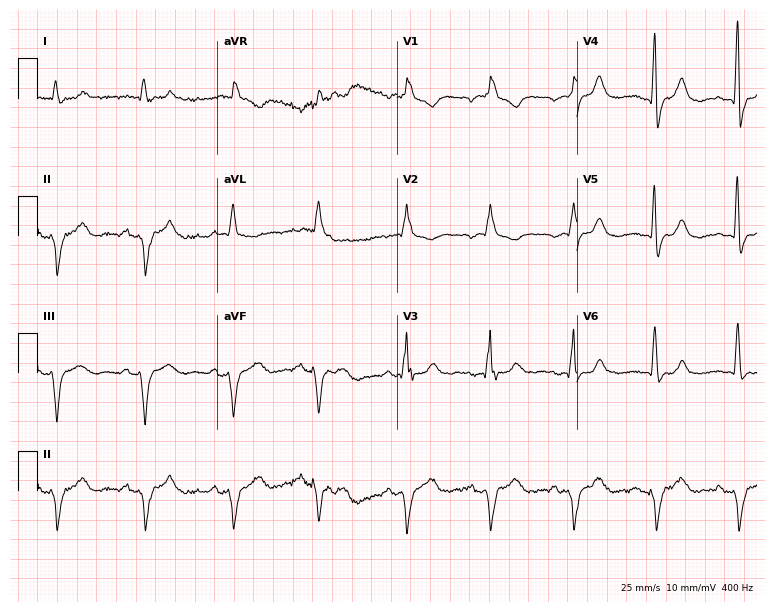
Electrocardiogram, a male patient, 78 years old. Interpretation includes right bundle branch block (RBBB).